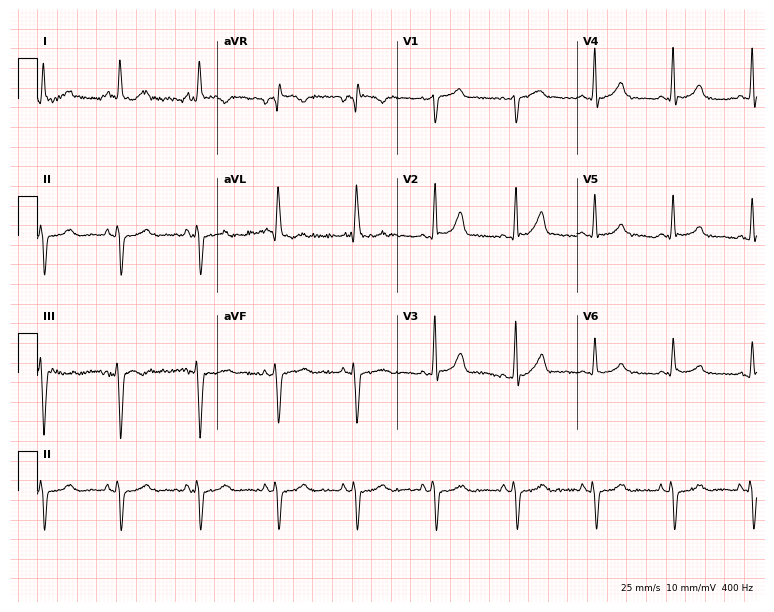
Resting 12-lead electrocardiogram. Patient: a 61-year-old male. None of these six findings is recorded: first-degree AV block, right bundle branch block, left bundle branch block, sinus bradycardia, atrial fibrillation, sinus tachycardia.